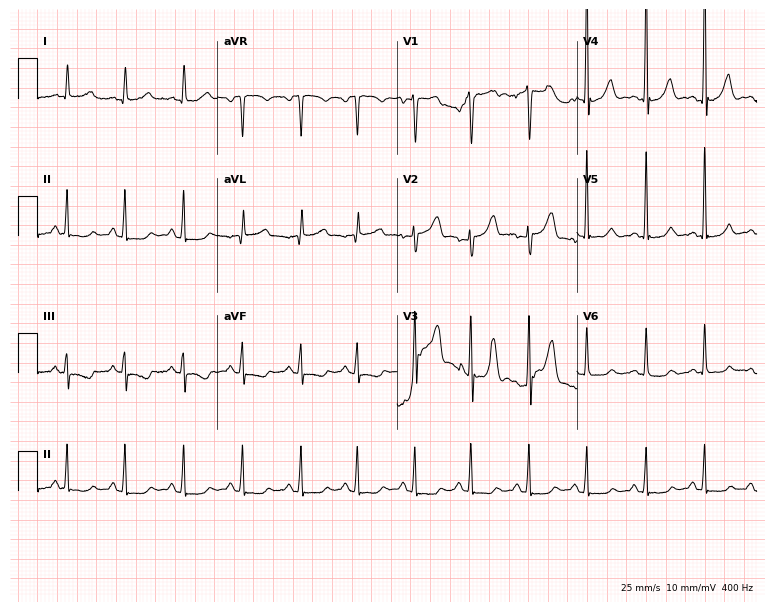
Standard 12-lead ECG recorded from a man, 46 years old (7.3-second recording at 400 Hz). The tracing shows sinus tachycardia (a sinus rate of 100 beats per minute or more).